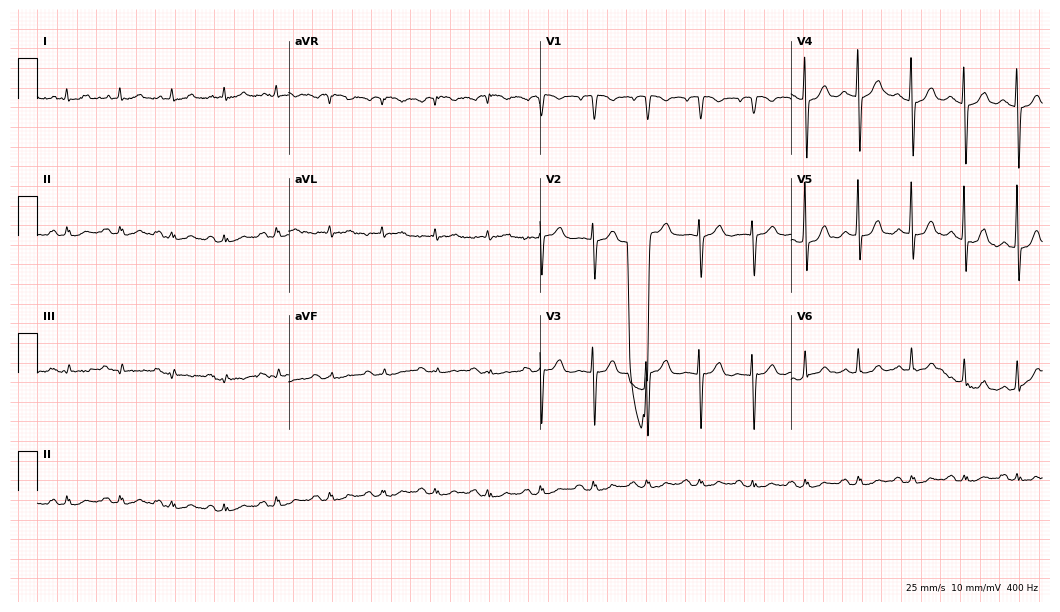
ECG (10.2-second recording at 400 Hz) — a female, 82 years old. Findings include sinus tachycardia (a sinus rate of 100 beats per minute or more).